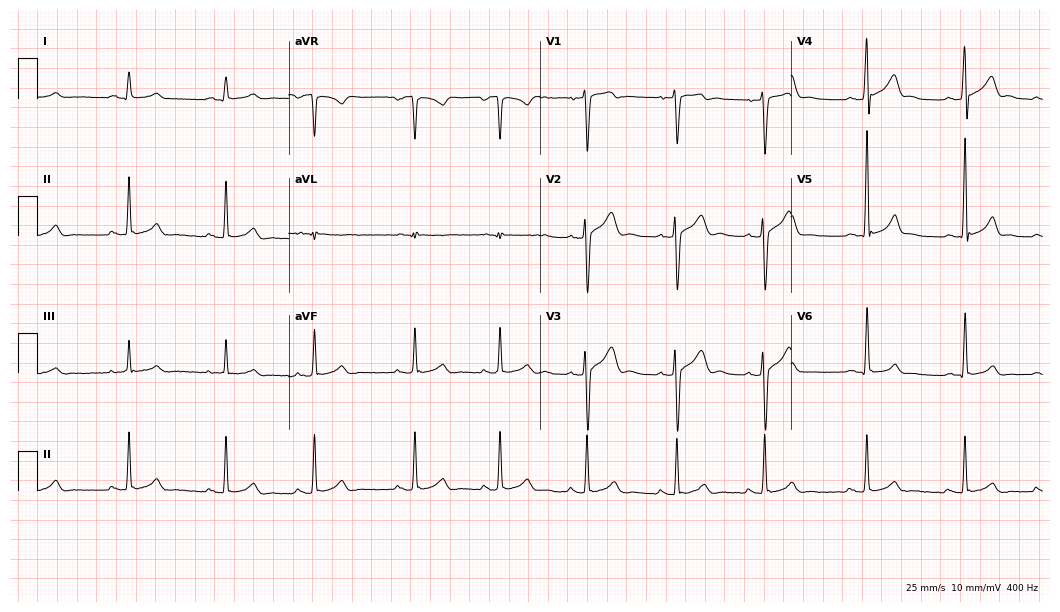
Resting 12-lead electrocardiogram (10.2-second recording at 400 Hz). Patient: a 21-year-old male. Read as a normal ECG.